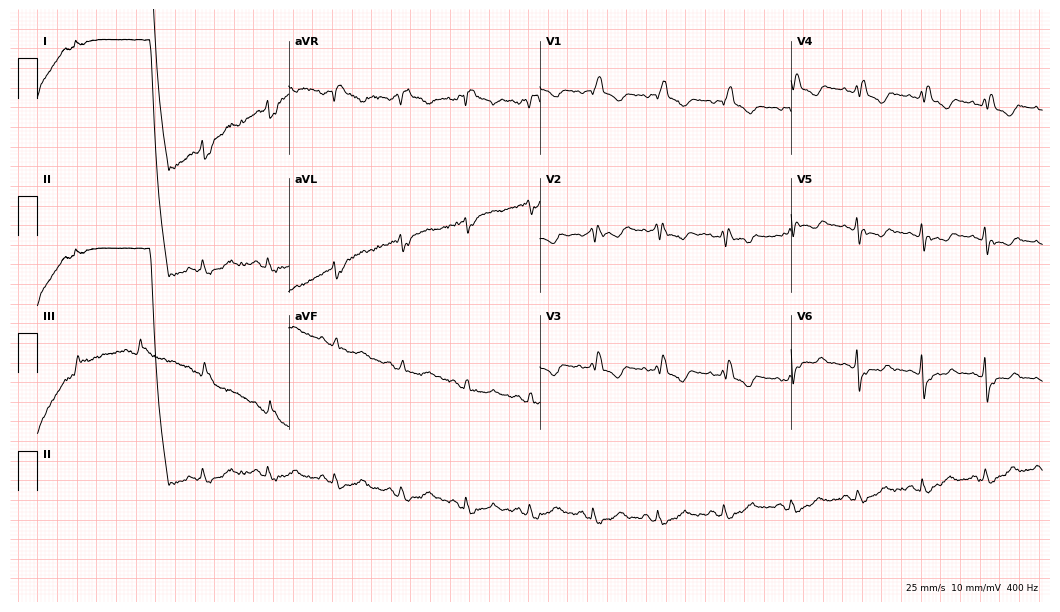
12-lead ECG from an 80-year-old woman (10.2-second recording at 400 Hz). Shows right bundle branch block (RBBB).